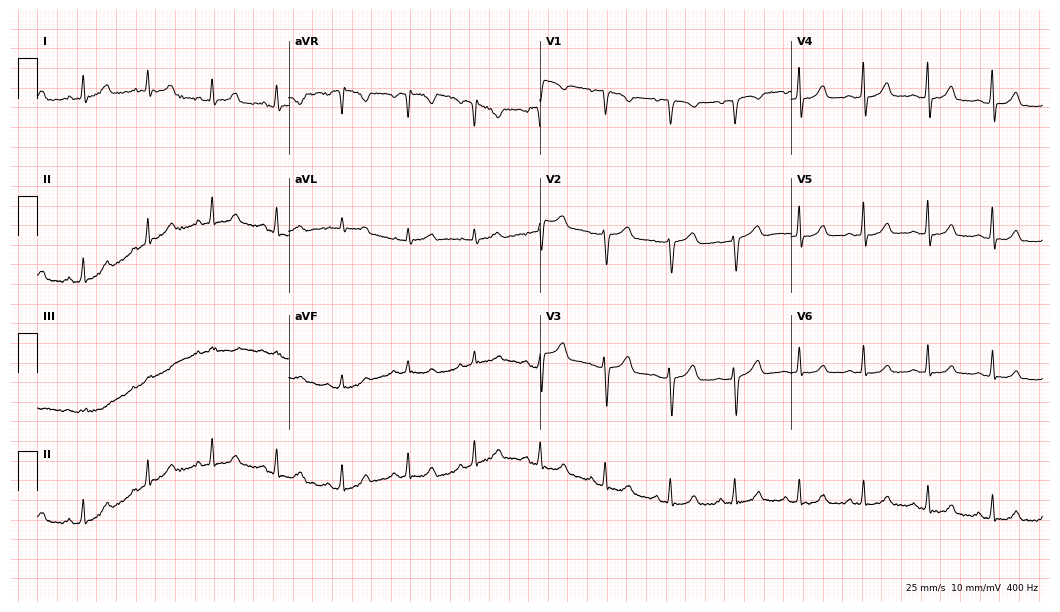
Resting 12-lead electrocardiogram (10.2-second recording at 400 Hz). Patient: a female, 45 years old. Read as a normal ECG.